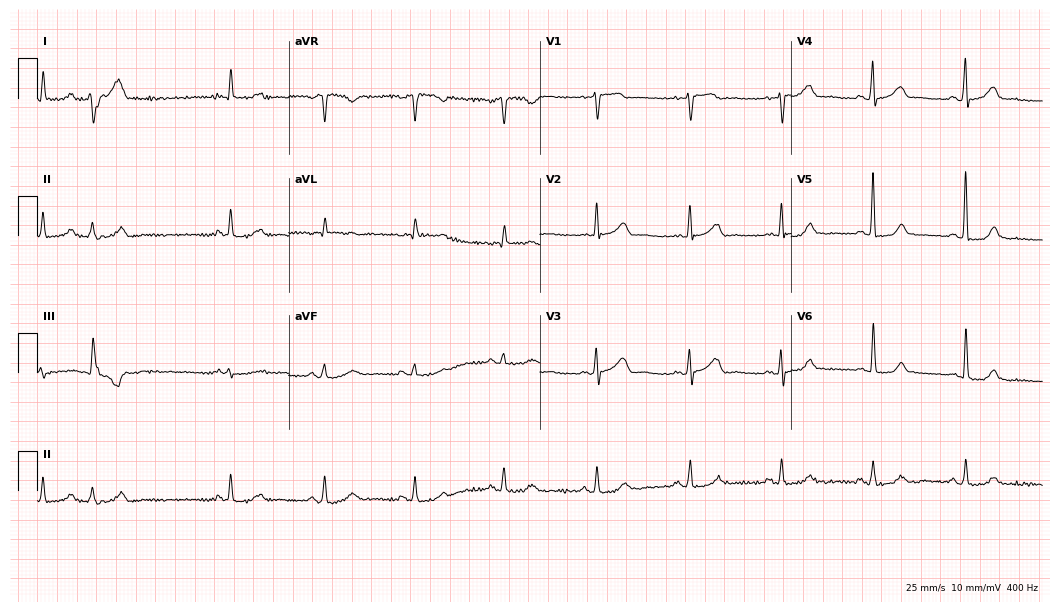
12-lead ECG from a woman, 77 years old. No first-degree AV block, right bundle branch block (RBBB), left bundle branch block (LBBB), sinus bradycardia, atrial fibrillation (AF) or sinus tachycardia recorded for this tracing. Findings outside these six are not listed.